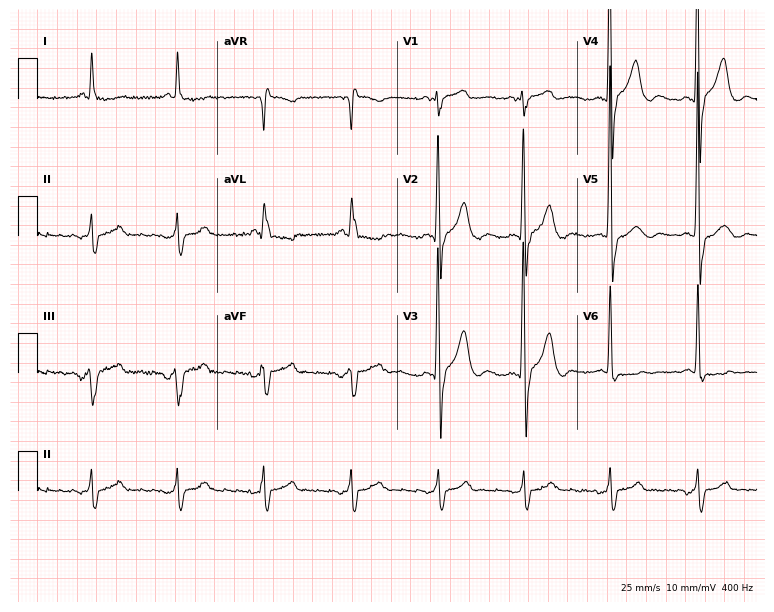
12-lead ECG from a 58-year-old male patient (7.3-second recording at 400 Hz). No first-degree AV block, right bundle branch block (RBBB), left bundle branch block (LBBB), sinus bradycardia, atrial fibrillation (AF) or sinus tachycardia recorded for this tracing.